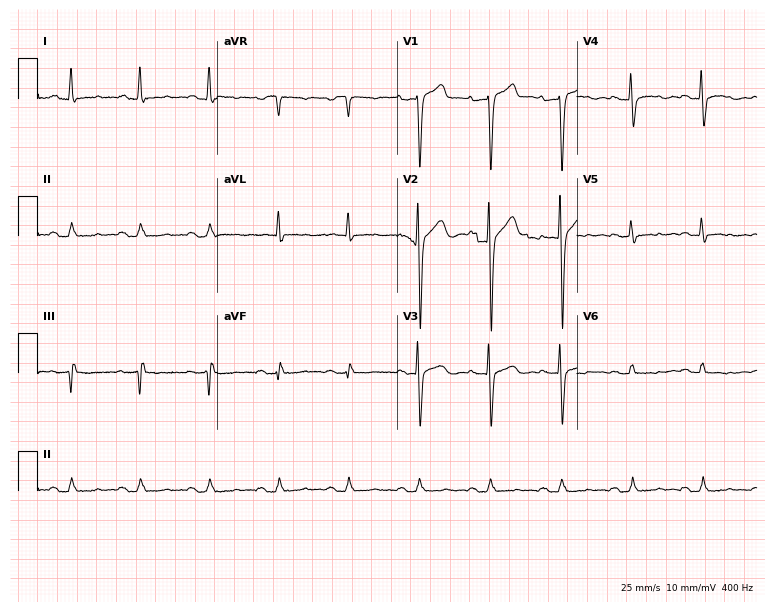
Resting 12-lead electrocardiogram. Patient: a 63-year-old male. None of these six findings is recorded: first-degree AV block, right bundle branch block, left bundle branch block, sinus bradycardia, atrial fibrillation, sinus tachycardia. Only these six findings were labelled.